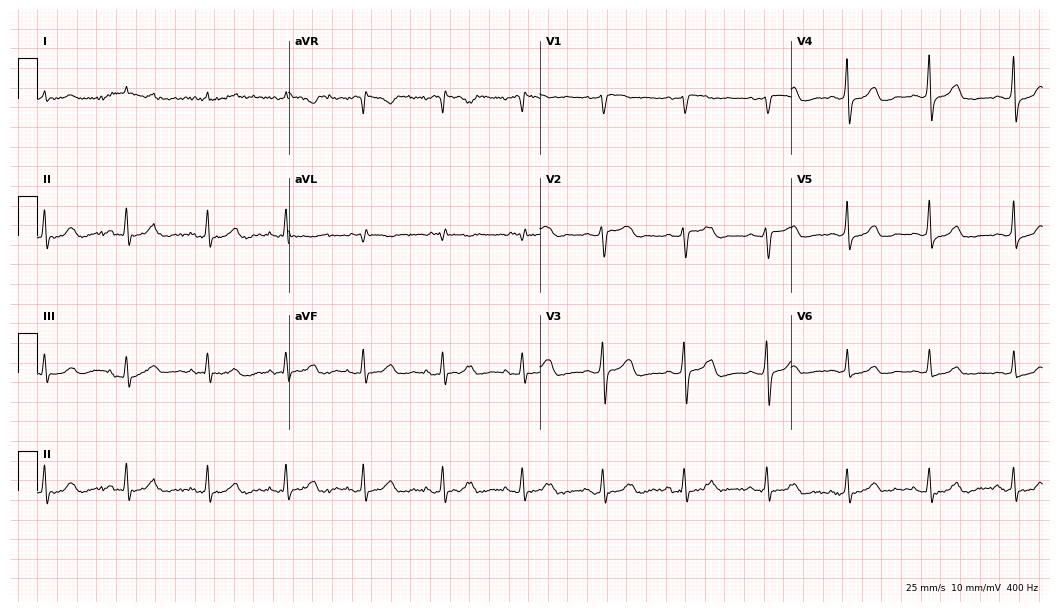
Standard 12-lead ECG recorded from a 78-year-old female patient. None of these six findings is recorded: first-degree AV block, right bundle branch block (RBBB), left bundle branch block (LBBB), sinus bradycardia, atrial fibrillation (AF), sinus tachycardia. Findings outside these six are not listed.